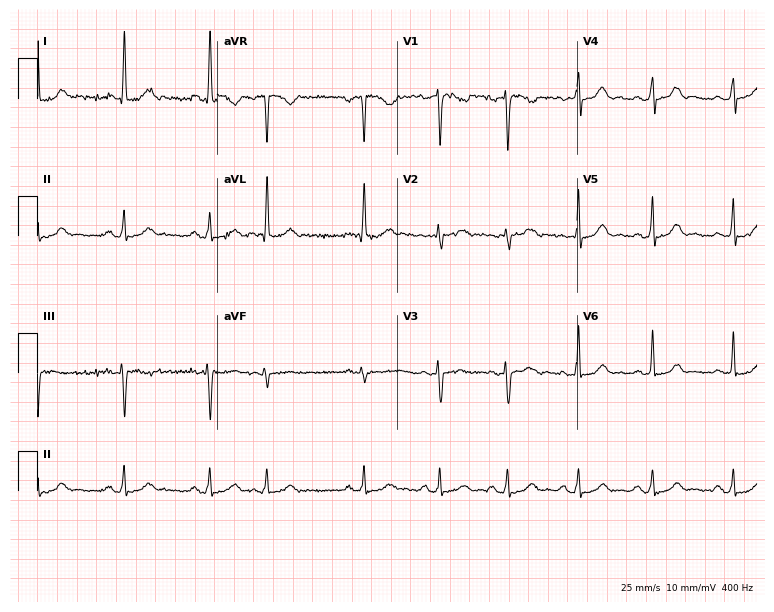
Standard 12-lead ECG recorded from a woman, 43 years old (7.3-second recording at 400 Hz). None of these six findings is recorded: first-degree AV block, right bundle branch block, left bundle branch block, sinus bradycardia, atrial fibrillation, sinus tachycardia.